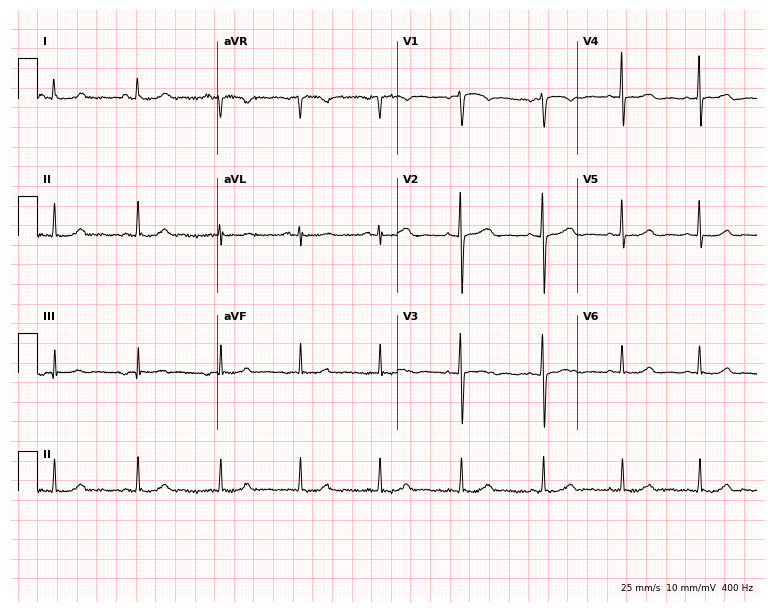
12-lead ECG from a female, 41 years old. Screened for six findings — first-degree AV block, right bundle branch block, left bundle branch block, sinus bradycardia, atrial fibrillation, sinus tachycardia — none is recorded. Findings outside these six are not listed.